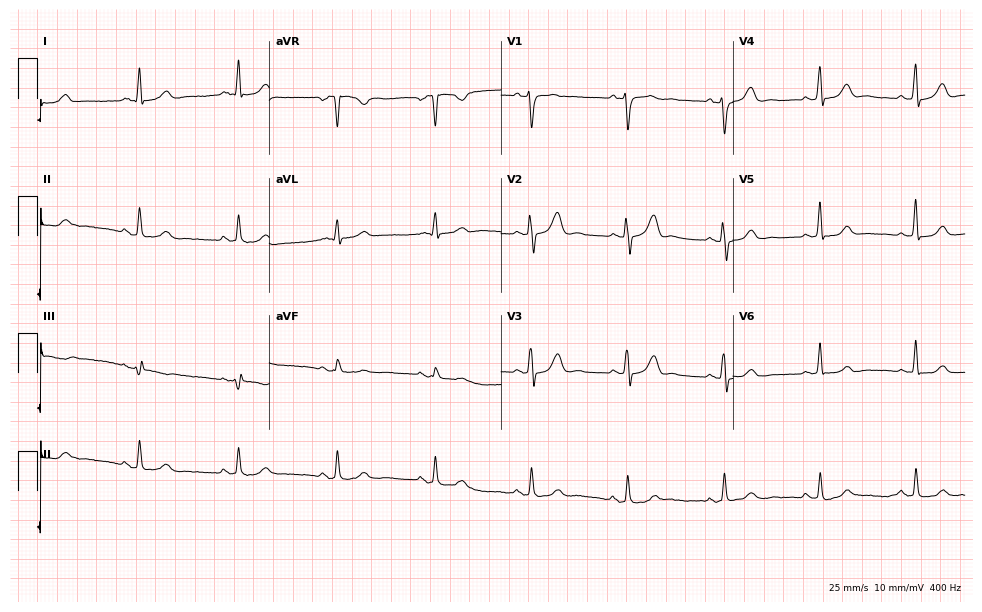
12-lead ECG from a 57-year-old female patient. Recorded interpretation: within normal limits.